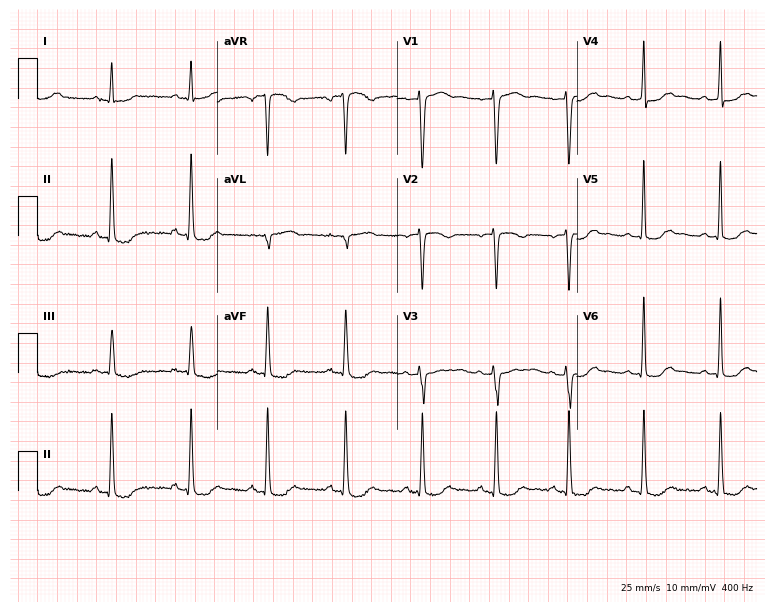
Standard 12-lead ECG recorded from a 39-year-old female patient (7.3-second recording at 400 Hz). None of these six findings is recorded: first-degree AV block, right bundle branch block, left bundle branch block, sinus bradycardia, atrial fibrillation, sinus tachycardia.